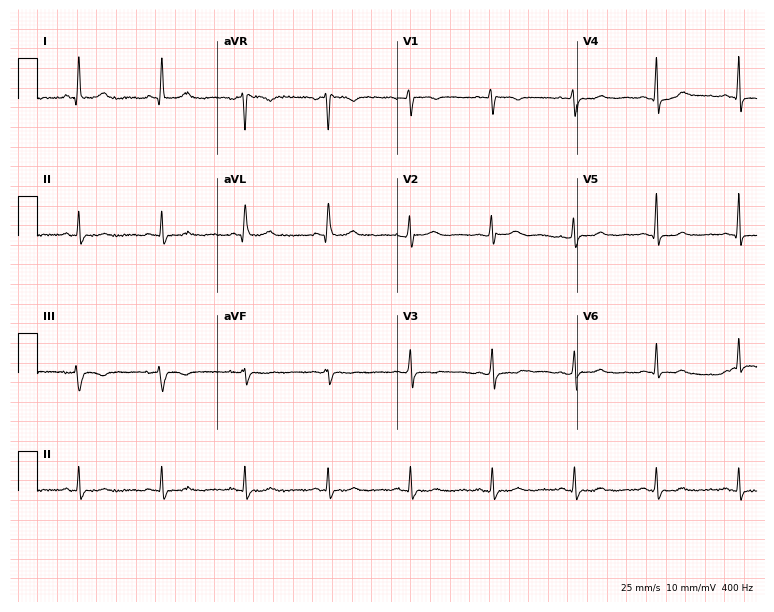
Electrocardiogram (7.3-second recording at 400 Hz), a female patient, 50 years old. Overall reading on record: normal ECG.